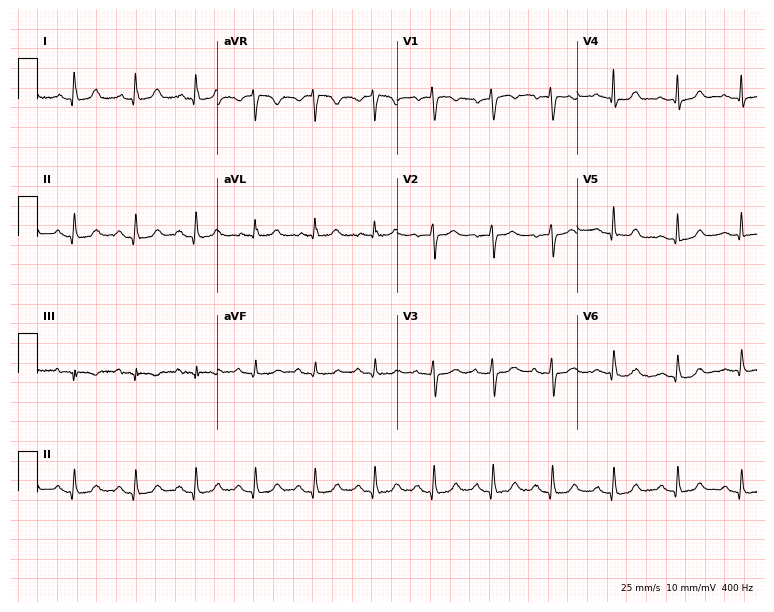
12-lead ECG (7.3-second recording at 400 Hz) from a woman, 57 years old. Labelled as a normal ECG.